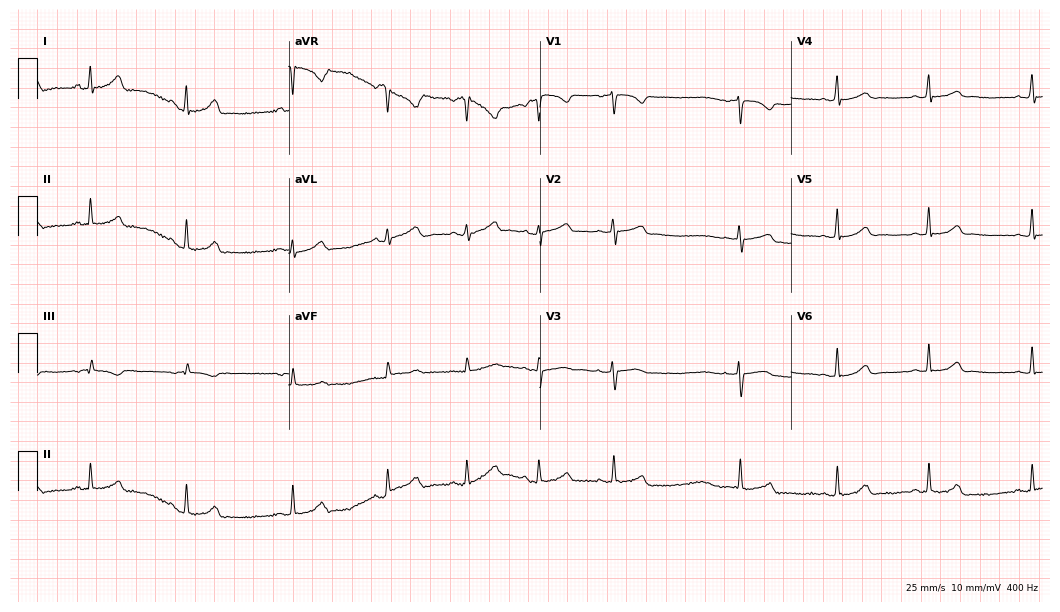
12-lead ECG (10.2-second recording at 400 Hz) from a woman, 17 years old. Labelled as a normal ECG.